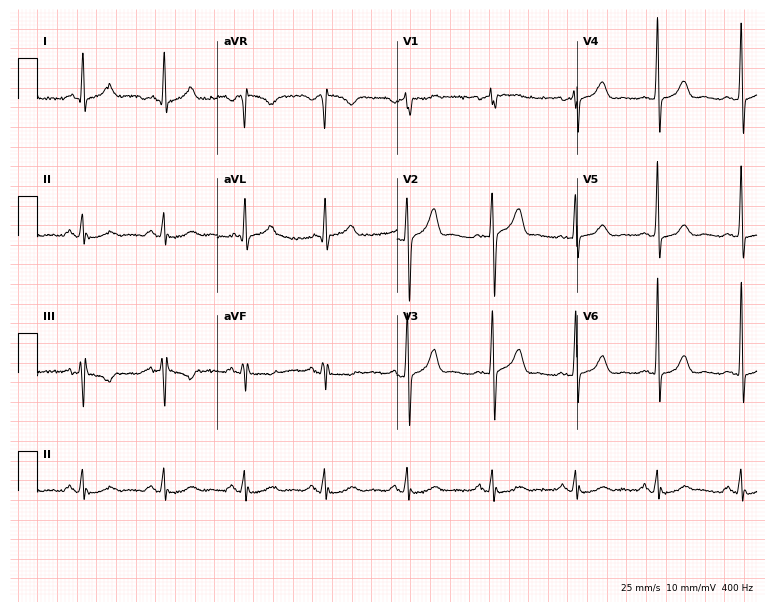
Electrocardiogram, a 54-year-old male patient. Of the six screened findings (first-degree AV block, right bundle branch block, left bundle branch block, sinus bradycardia, atrial fibrillation, sinus tachycardia), none is recorded.